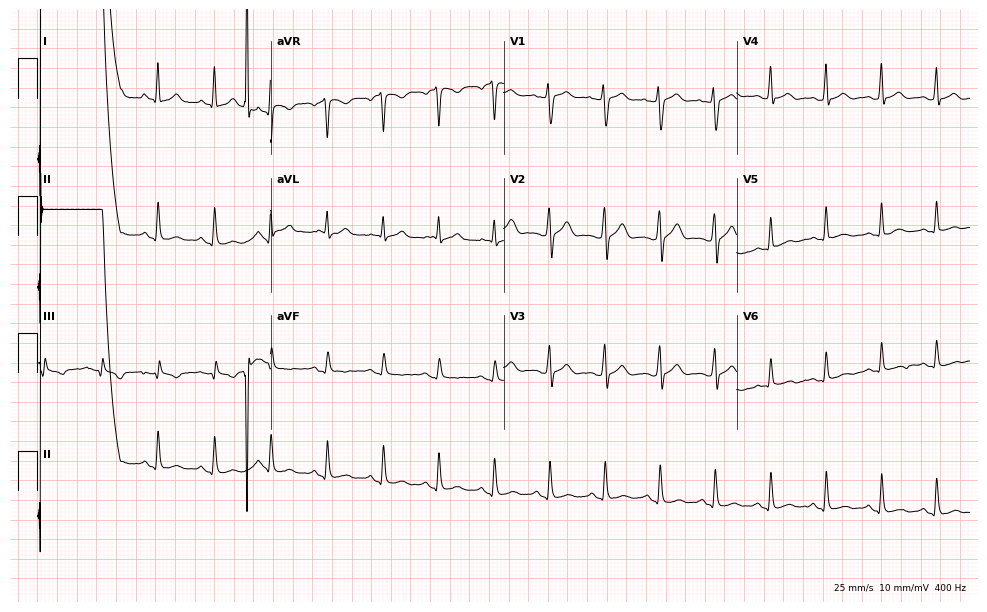
Standard 12-lead ECG recorded from a 22-year-old male. Read as a normal ECG.